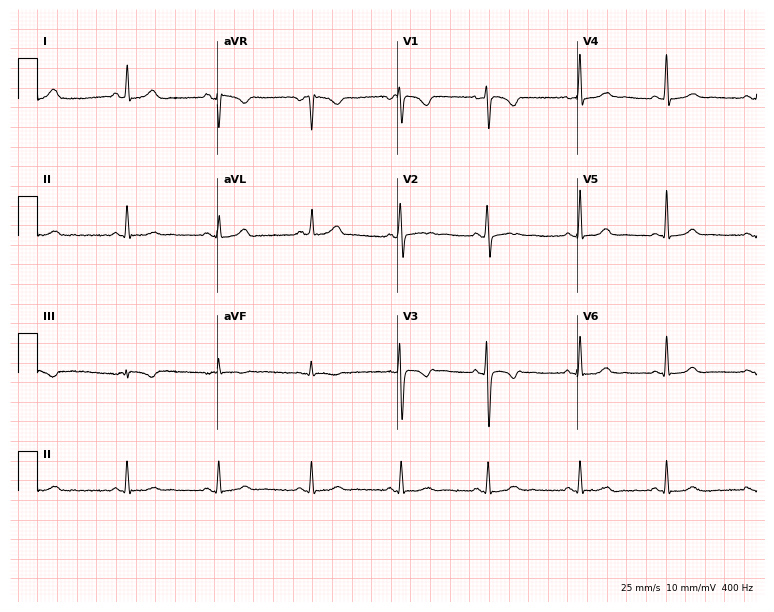
Standard 12-lead ECG recorded from a 38-year-old female. Read as a normal ECG.